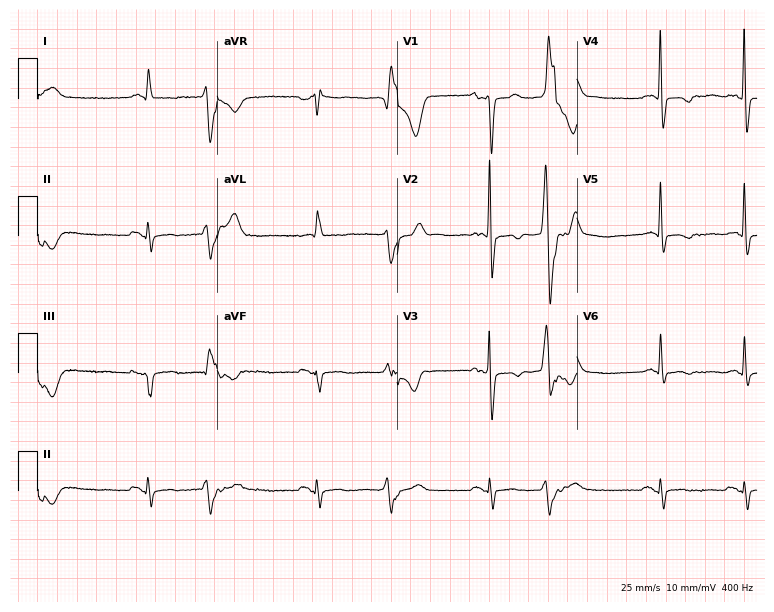
ECG (7.3-second recording at 400 Hz) — a woman, 84 years old. Screened for six findings — first-degree AV block, right bundle branch block (RBBB), left bundle branch block (LBBB), sinus bradycardia, atrial fibrillation (AF), sinus tachycardia — none is recorded. Other findings, if any, are not listed.